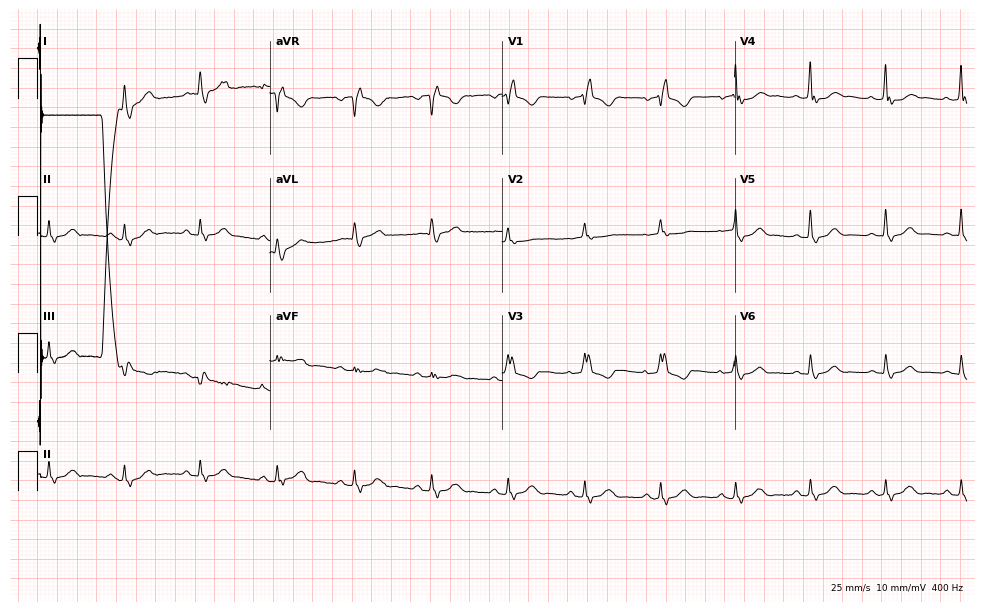
Standard 12-lead ECG recorded from a female, 69 years old. The tracing shows right bundle branch block, atrial fibrillation.